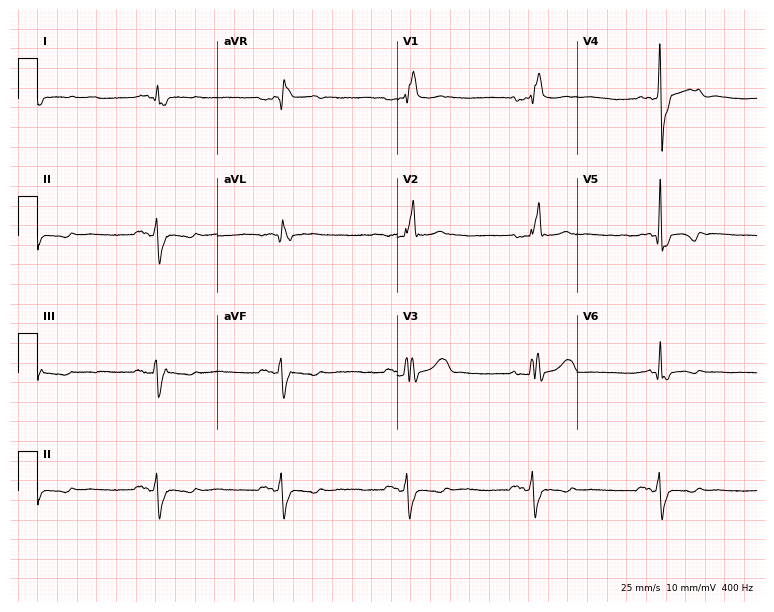
12-lead ECG (7.3-second recording at 400 Hz) from a 72-year-old male patient. Findings include right bundle branch block, sinus bradycardia (a sinus rate of 50 beats per minute or less).